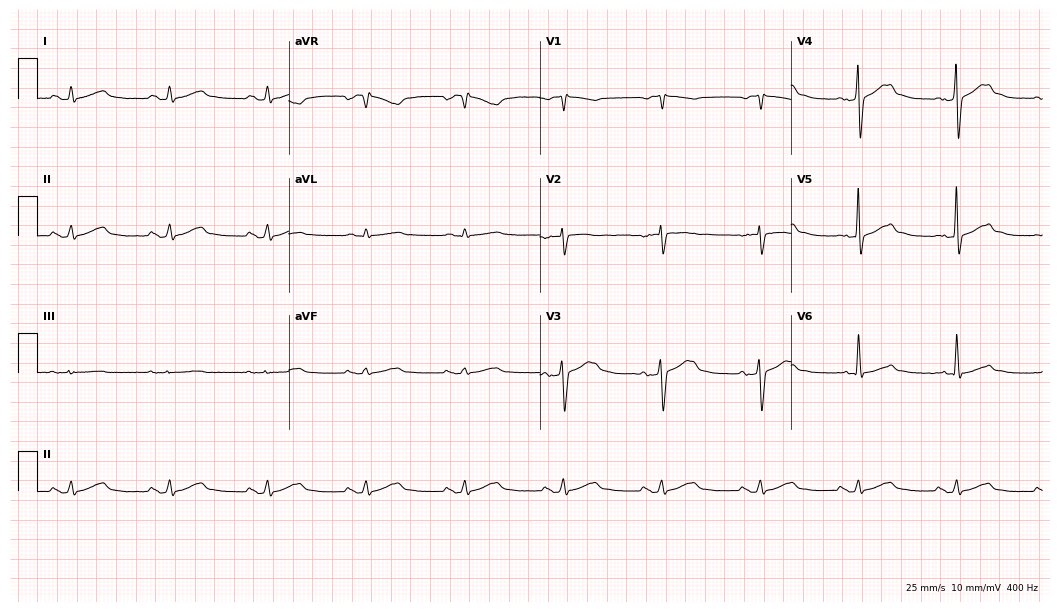
Resting 12-lead electrocardiogram (10.2-second recording at 400 Hz). Patient: a 79-year-old man. Read as a normal ECG.